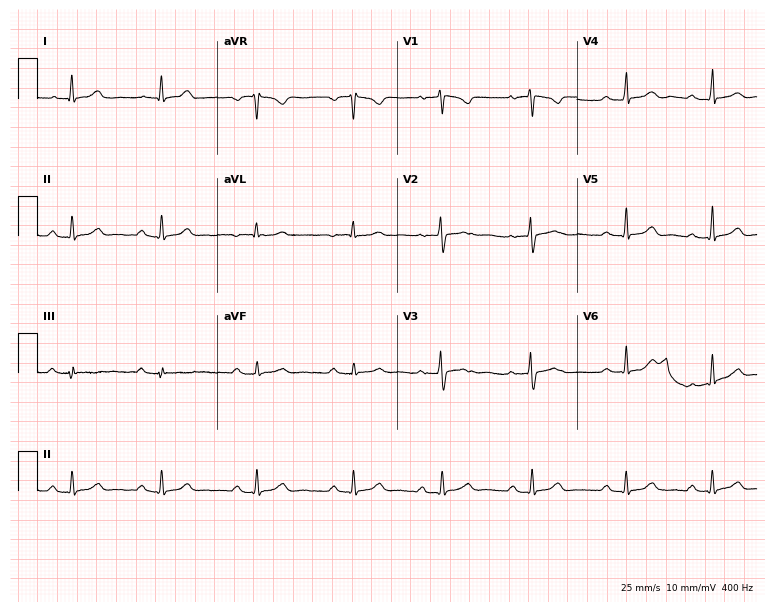
12-lead ECG from a 32-year-old female patient (7.3-second recording at 400 Hz). Shows first-degree AV block.